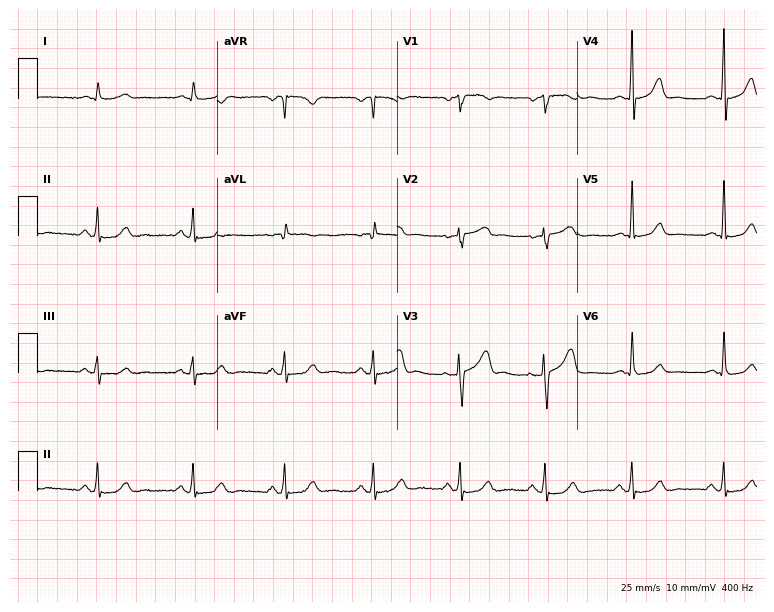
Resting 12-lead electrocardiogram (7.3-second recording at 400 Hz). Patient: a man, 58 years old. None of these six findings is recorded: first-degree AV block, right bundle branch block, left bundle branch block, sinus bradycardia, atrial fibrillation, sinus tachycardia.